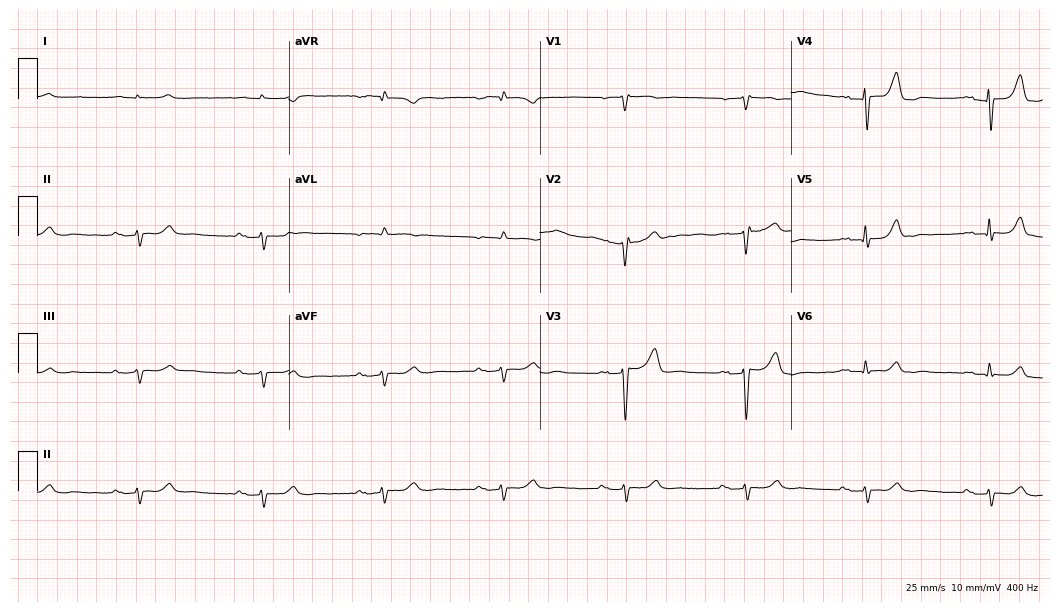
Standard 12-lead ECG recorded from a male patient, 75 years old (10.2-second recording at 400 Hz). None of these six findings is recorded: first-degree AV block, right bundle branch block (RBBB), left bundle branch block (LBBB), sinus bradycardia, atrial fibrillation (AF), sinus tachycardia.